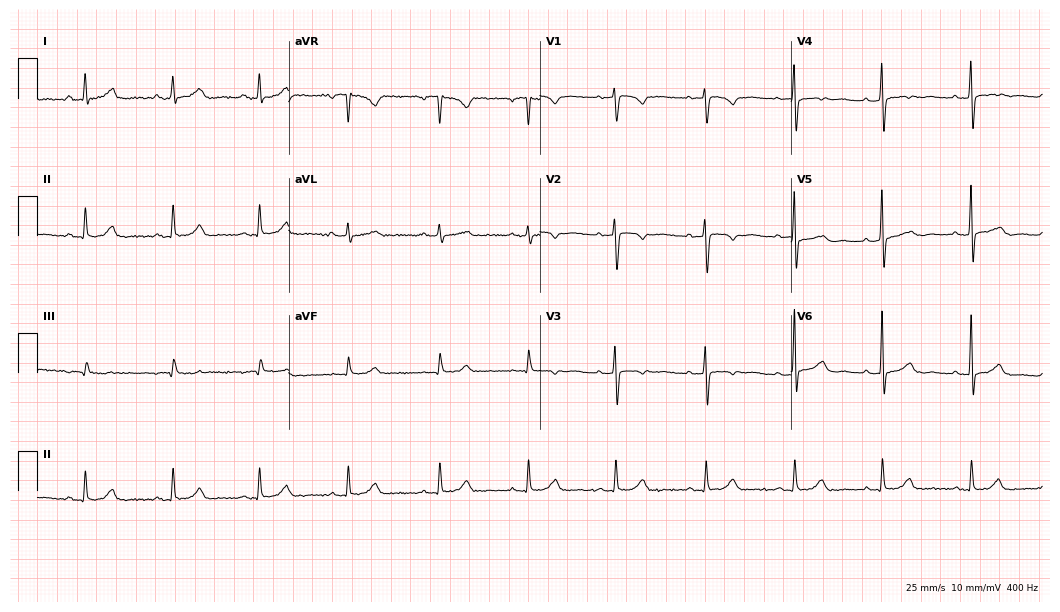
Electrocardiogram (10.2-second recording at 400 Hz), a 45-year-old woman. Of the six screened findings (first-degree AV block, right bundle branch block, left bundle branch block, sinus bradycardia, atrial fibrillation, sinus tachycardia), none is recorded. Findings outside these six are not listed.